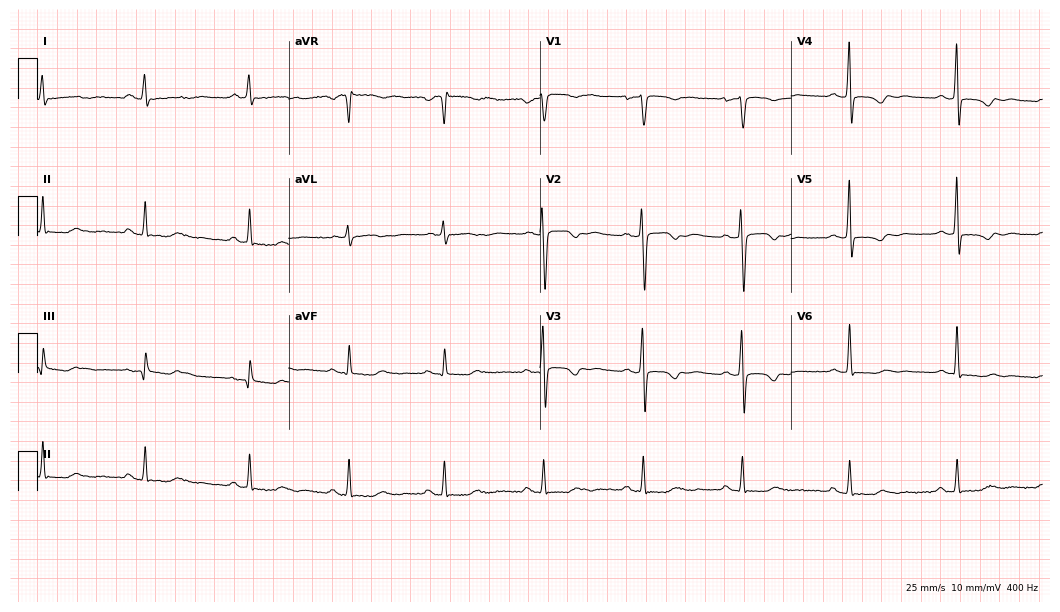
Standard 12-lead ECG recorded from a female, 54 years old. None of these six findings is recorded: first-degree AV block, right bundle branch block (RBBB), left bundle branch block (LBBB), sinus bradycardia, atrial fibrillation (AF), sinus tachycardia.